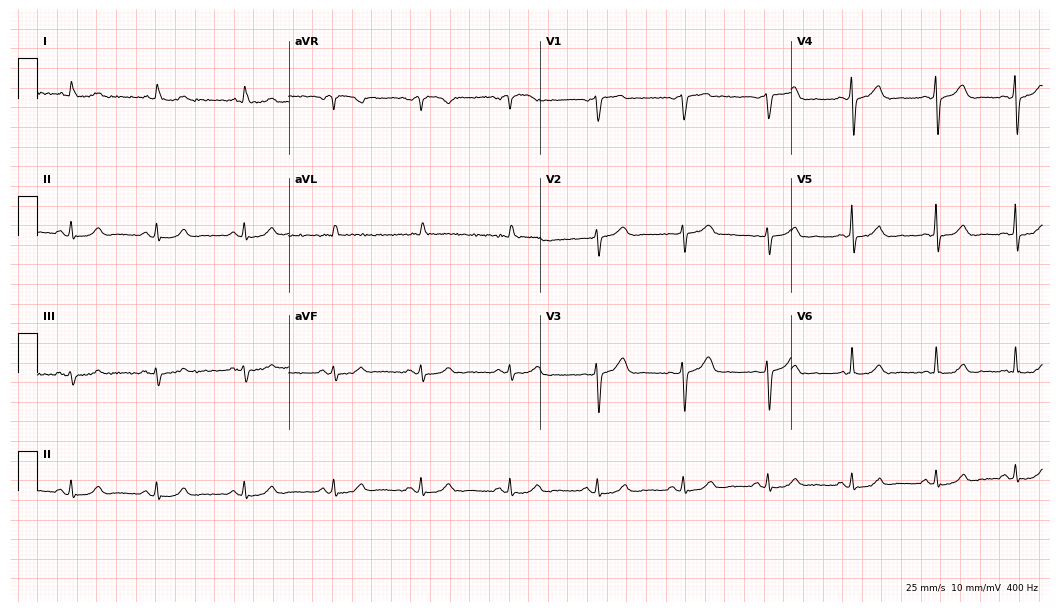
12-lead ECG from a male, 82 years old (10.2-second recording at 400 Hz). No first-degree AV block, right bundle branch block (RBBB), left bundle branch block (LBBB), sinus bradycardia, atrial fibrillation (AF) or sinus tachycardia recorded for this tracing. Only these six findings were labelled.